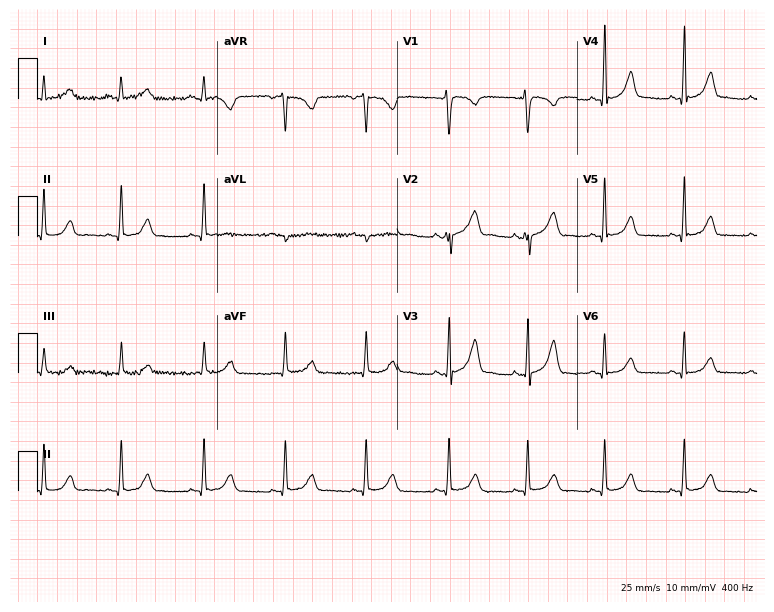
ECG — a 35-year-old woman. Screened for six findings — first-degree AV block, right bundle branch block (RBBB), left bundle branch block (LBBB), sinus bradycardia, atrial fibrillation (AF), sinus tachycardia — none is recorded. Only these six findings were labelled.